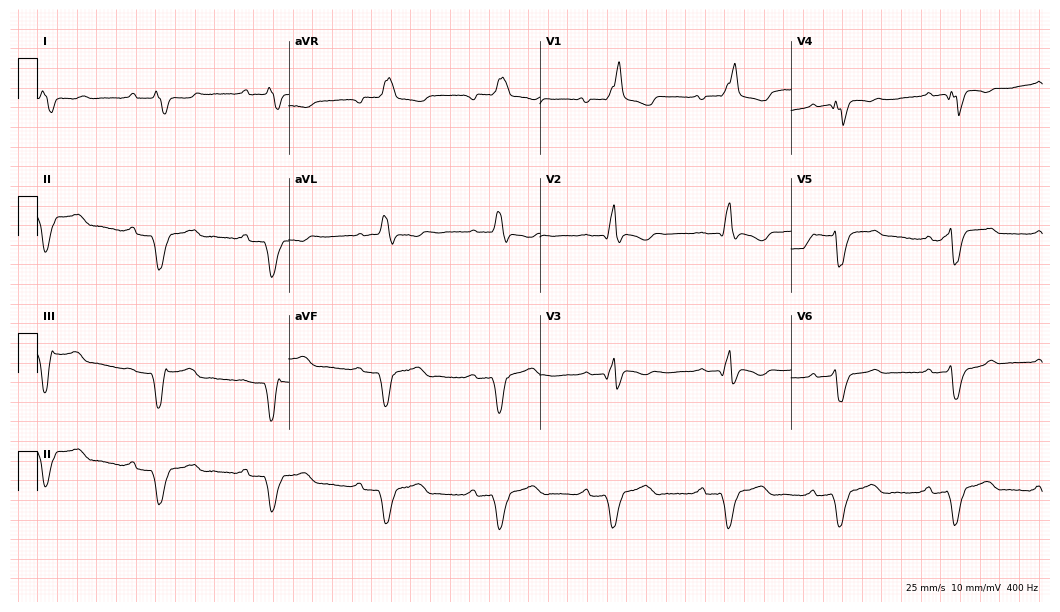
12-lead ECG from a 76-year-old male (10.2-second recording at 400 Hz). No first-degree AV block, right bundle branch block, left bundle branch block, sinus bradycardia, atrial fibrillation or sinus tachycardia recorded for this tracing.